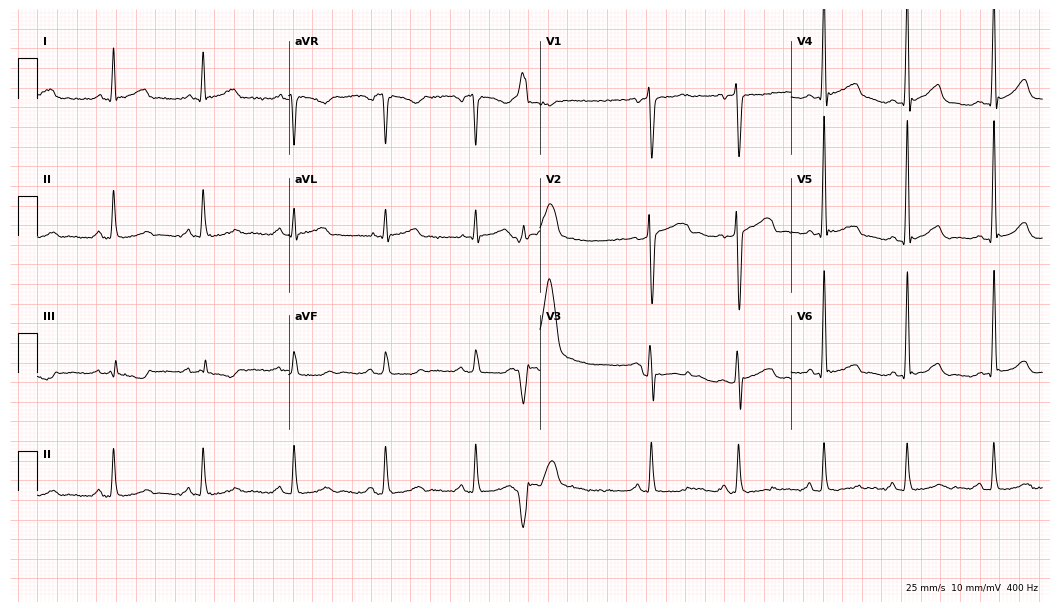
Standard 12-lead ECG recorded from a 44-year-old man. None of these six findings is recorded: first-degree AV block, right bundle branch block, left bundle branch block, sinus bradycardia, atrial fibrillation, sinus tachycardia. Other findings, if any, are not listed.